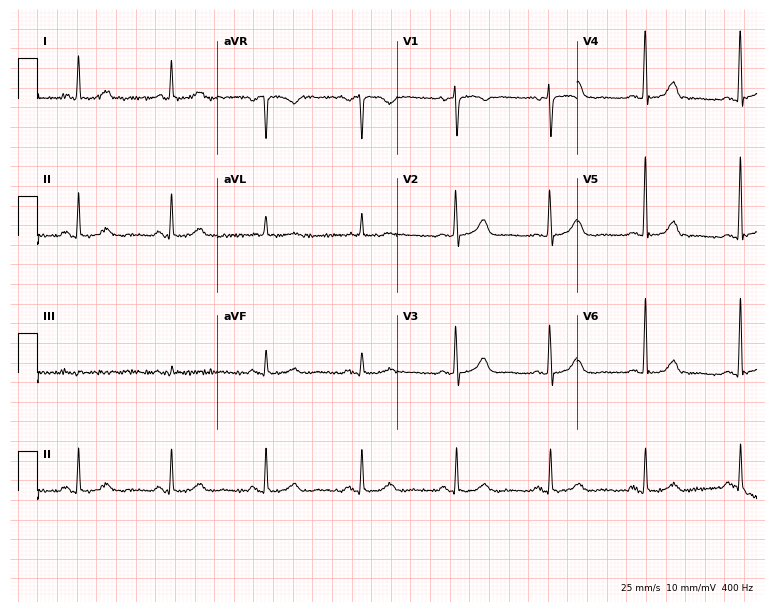
Electrocardiogram, an 81-year-old woman. Overall reading on record: normal ECG.